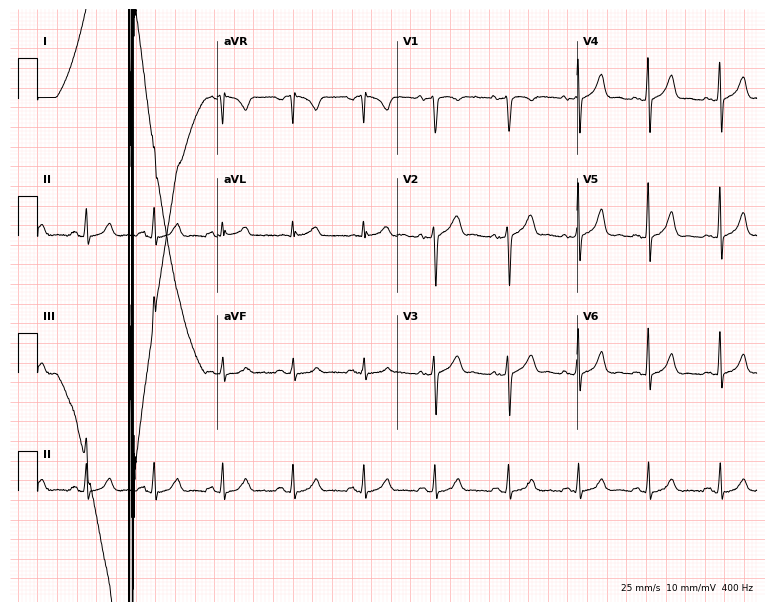
Resting 12-lead electrocardiogram (7.3-second recording at 400 Hz). Patient: a female, 29 years old. Read as a normal ECG.